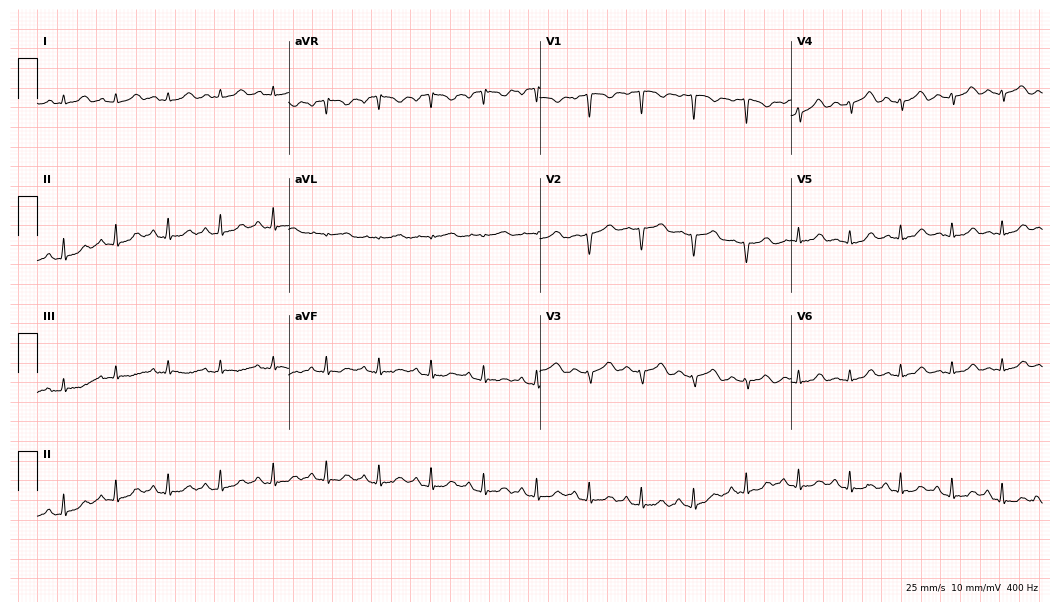
ECG — a 29-year-old woman. Findings include sinus tachycardia (a sinus rate of 100 beats per minute or more).